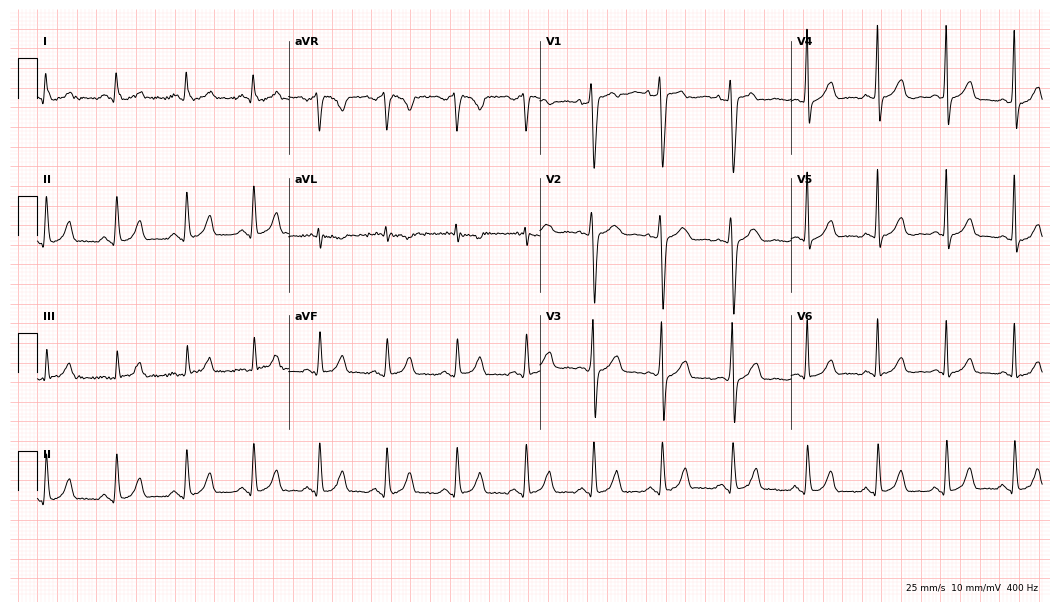
12-lead ECG from a woman, 35 years old. No first-degree AV block, right bundle branch block, left bundle branch block, sinus bradycardia, atrial fibrillation or sinus tachycardia recorded for this tracing. Findings outside these six are not listed.